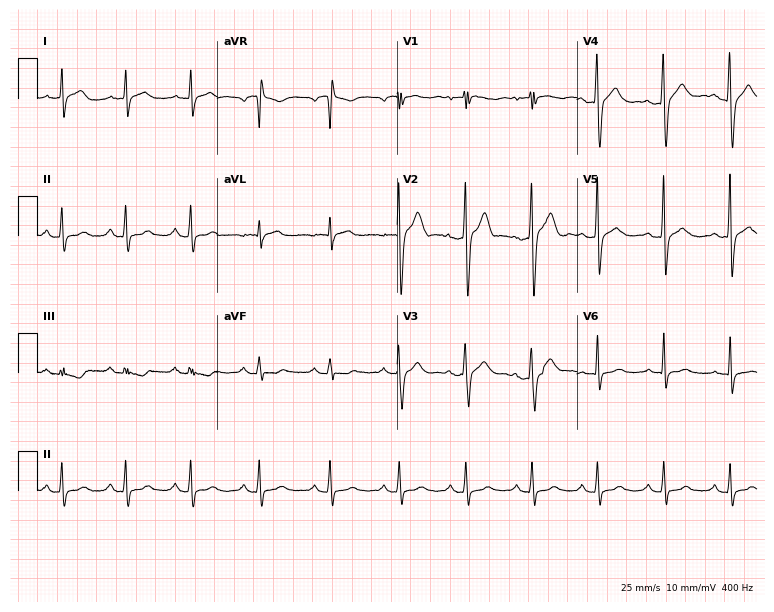
12-lead ECG from a male patient, 46 years old. No first-degree AV block, right bundle branch block (RBBB), left bundle branch block (LBBB), sinus bradycardia, atrial fibrillation (AF) or sinus tachycardia recorded for this tracing.